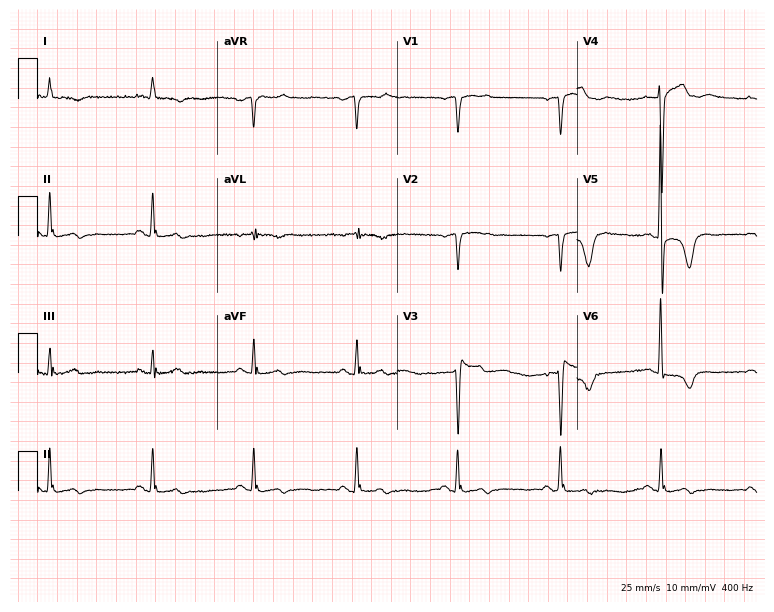
ECG (7.3-second recording at 400 Hz) — an 84-year-old woman. Screened for six findings — first-degree AV block, right bundle branch block, left bundle branch block, sinus bradycardia, atrial fibrillation, sinus tachycardia — none is recorded.